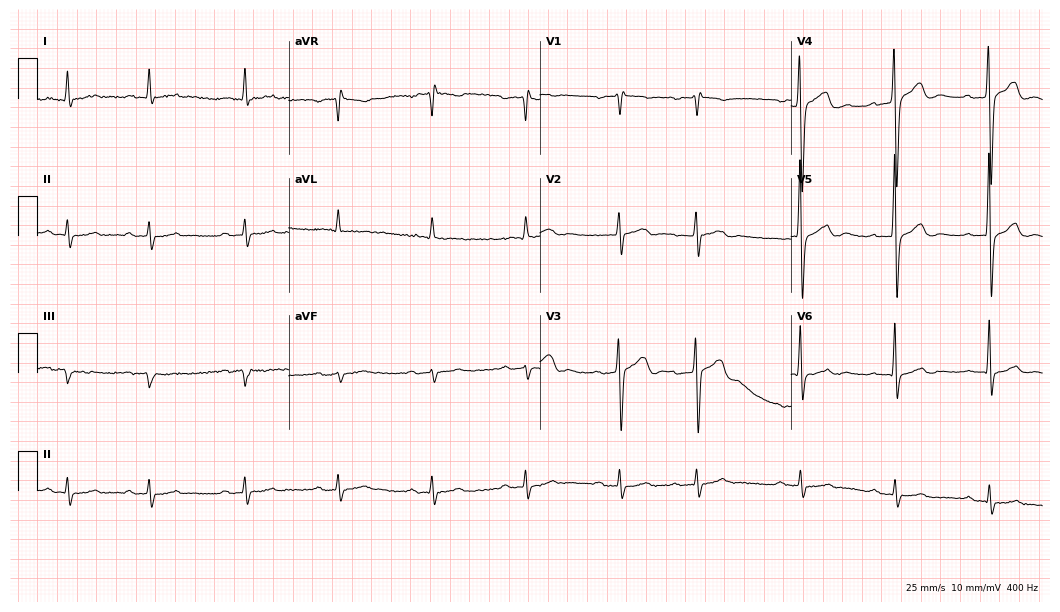
Standard 12-lead ECG recorded from a 70-year-old man. None of these six findings is recorded: first-degree AV block, right bundle branch block, left bundle branch block, sinus bradycardia, atrial fibrillation, sinus tachycardia.